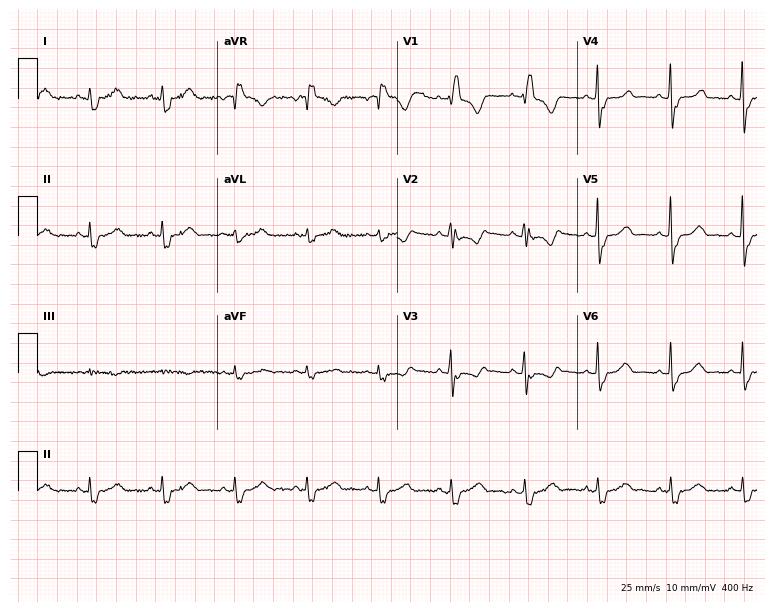
Electrocardiogram, a 36-year-old female. Interpretation includes right bundle branch block.